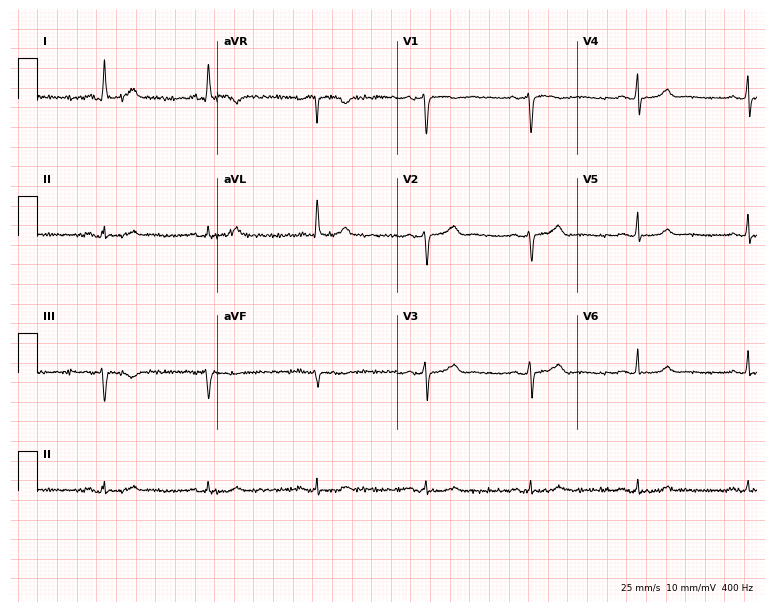
Standard 12-lead ECG recorded from a 64-year-old female. Read as a normal ECG.